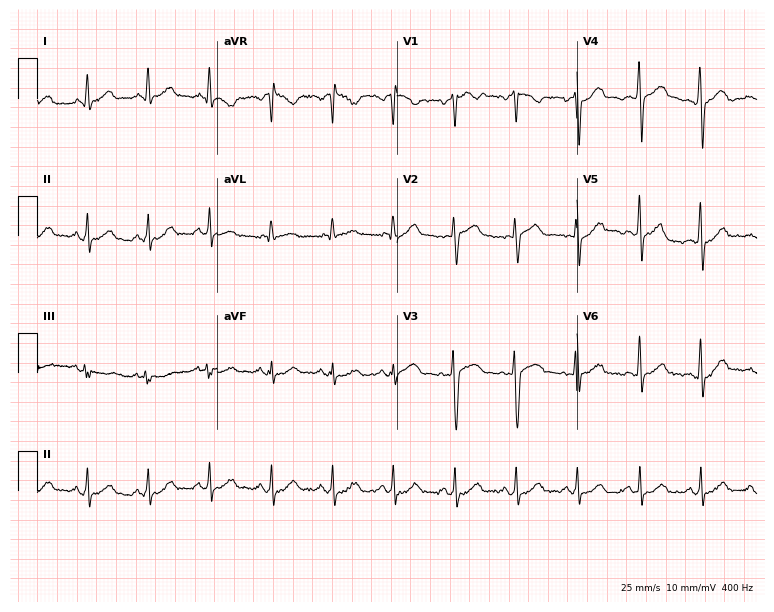
12-lead ECG (7.3-second recording at 400 Hz) from a male patient, 37 years old. Labelled as a normal ECG.